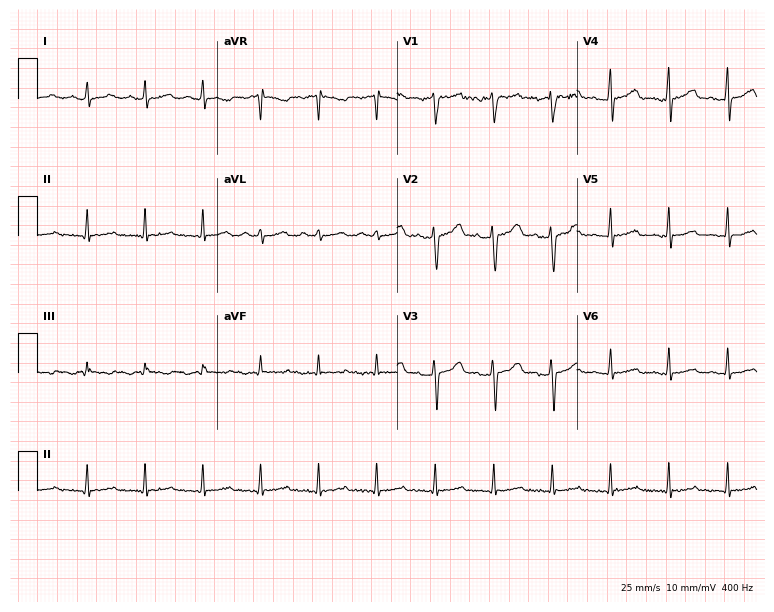
Resting 12-lead electrocardiogram (7.3-second recording at 400 Hz). Patient: a woman, 39 years old. Read as a normal ECG.